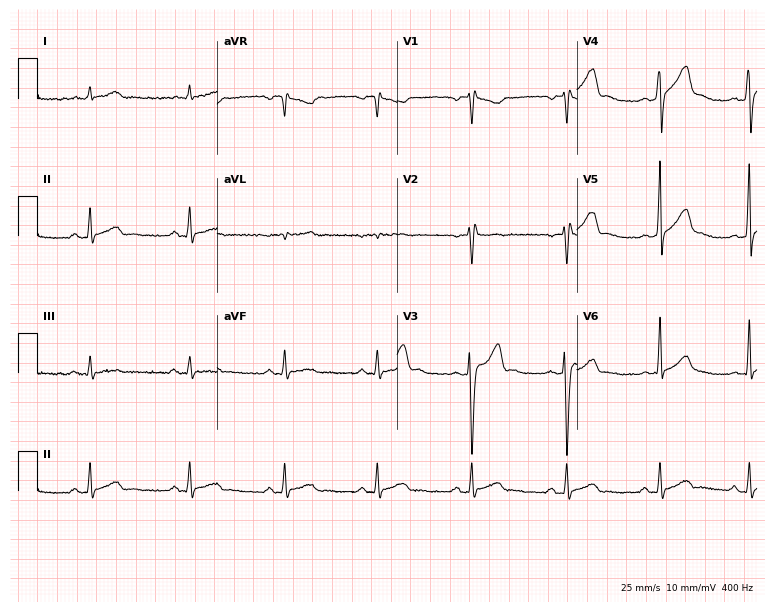
12-lead ECG (7.3-second recording at 400 Hz) from a 31-year-old man. Labelled as a normal ECG.